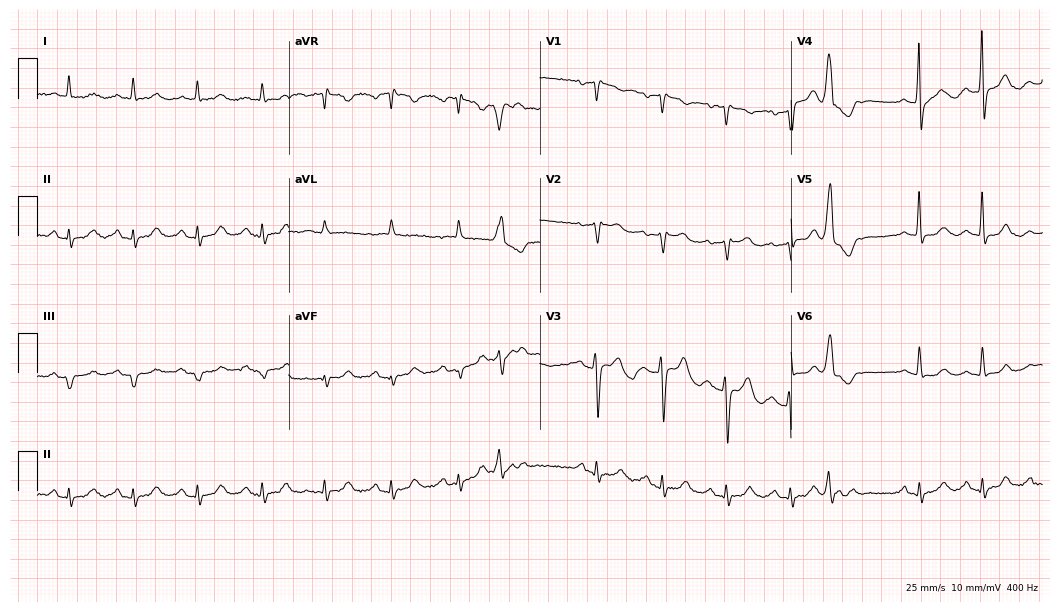
Electrocardiogram, a man, 83 years old. Overall reading on record: normal ECG.